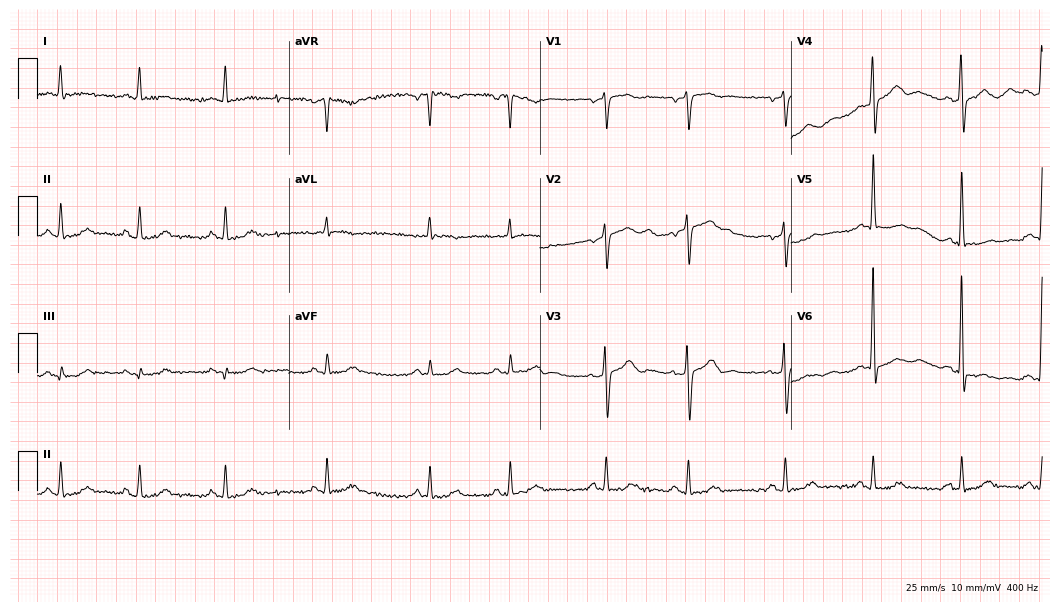
ECG — a 73-year-old male patient. Screened for six findings — first-degree AV block, right bundle branch block (RBBB), left bundle branch block (LBBB), sinus bradycardia, atrial fibrillation (AF), sinus tachycardia — none is recorded.